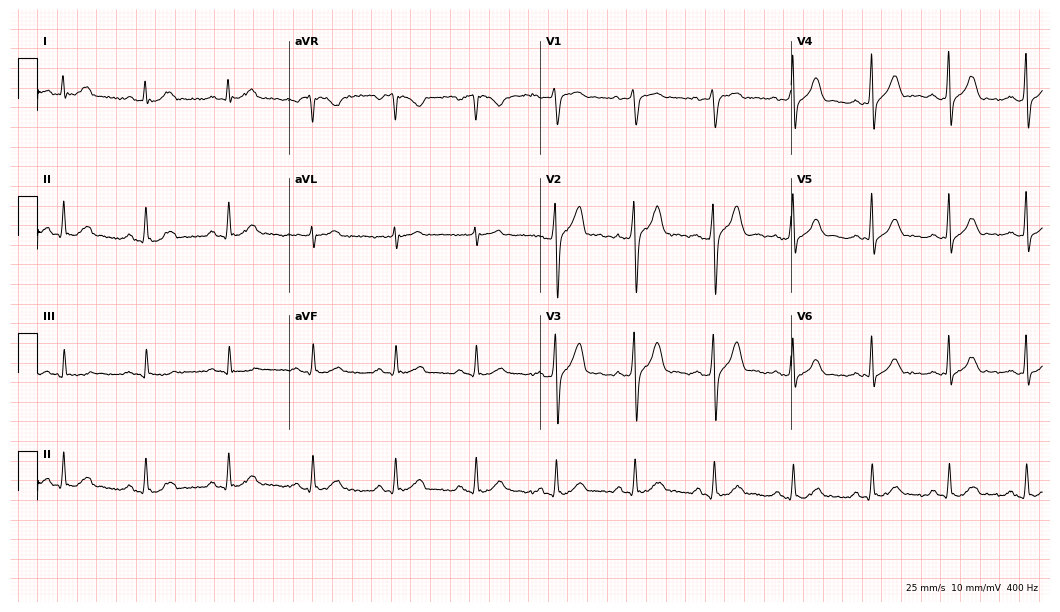
Standard 12-lead ECG recorded from a man, 38 years old (10.2-second recording at 400 Hz). None of these six findings is recorded: first-degree AV block, right bundle branch block (RBBB), left bundle branch block (LBBB), sinus bradycardia, atrial fibrillation (AF), sinus tachycardia. Only these six findings were labelled.